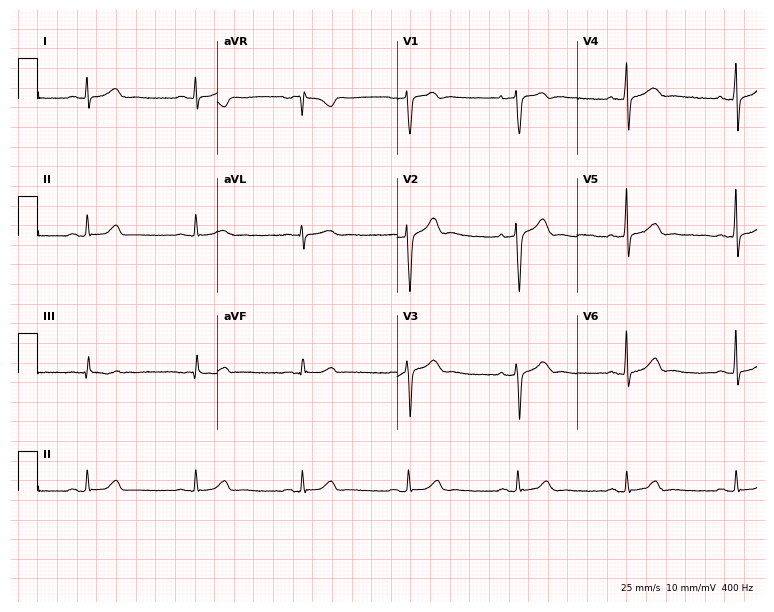
12-lead ECG from a 49-year-old male patient. Recorded interpretation: within normal limits.